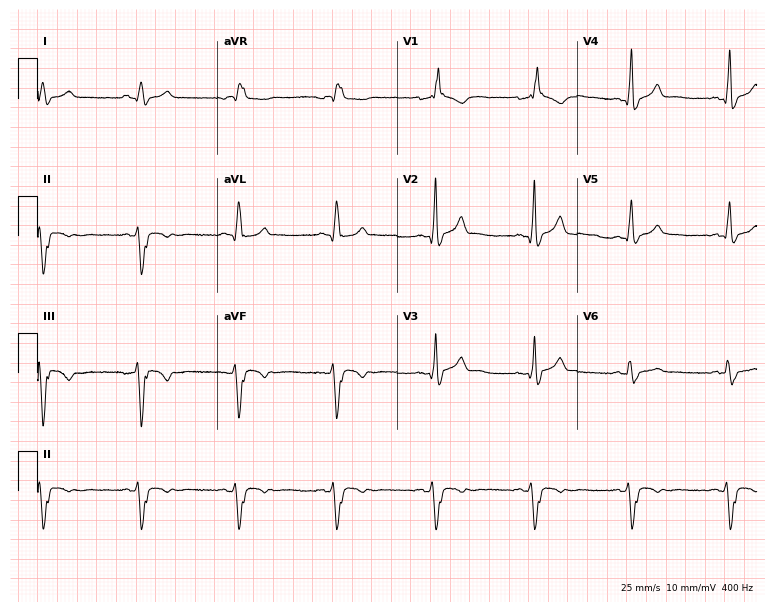
Standard 12-lead ECG recorded from a male patient, 46 years old (7.3-second recording at 400 Hz). None of these six findings is recorded: first-degree AV block, right bundle branch block, left bundle branch block, sinus bradycardia, atrial fibrillation, sinus tachycardia. Only these six findings were labelled.